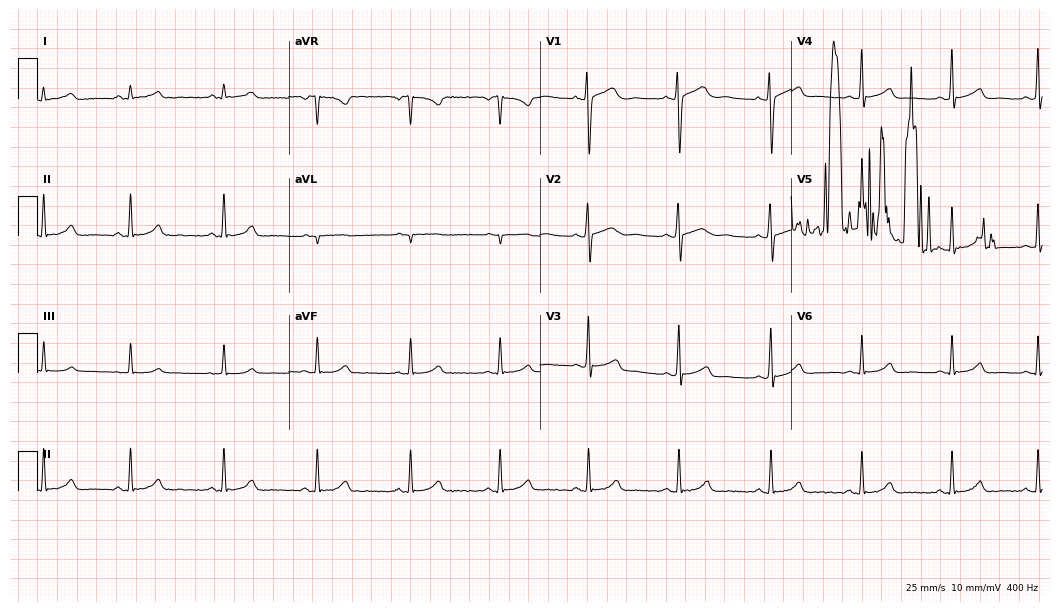
Resting 12-lead electrocardiogram (10.2-second recording at 400 Hz). Patient: a woman, 22 years old. None of these six findings is recorded: first-degree AV block, right bundle branch block, left bundle branch block, sinus bradycardia, atrial fibrillation, sinus tachycardia.